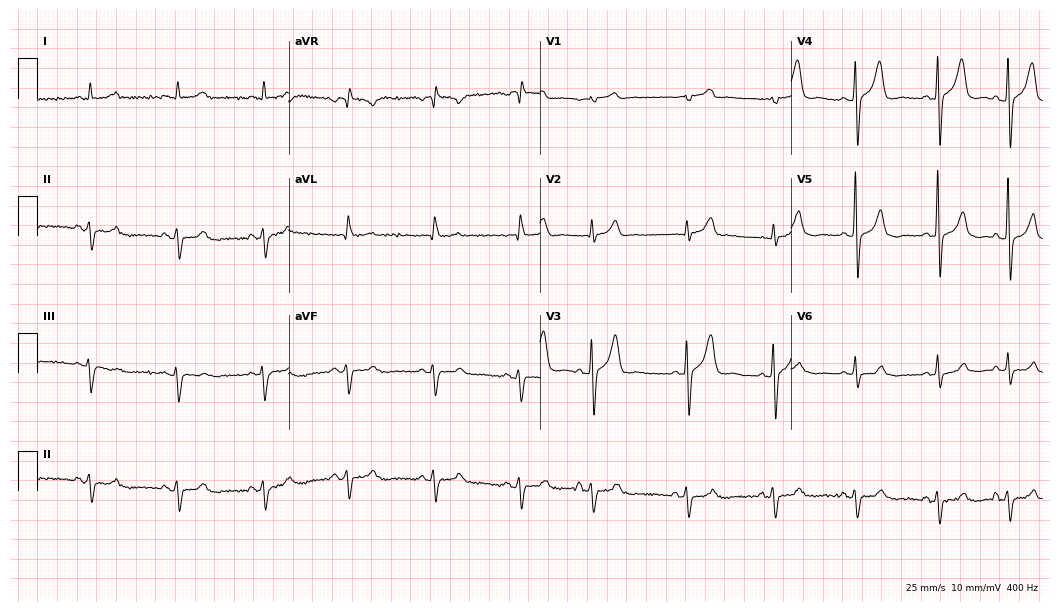
12-lead ECG from a man, 67 years old. Screened for six findings — first-degree AV block, right bundle branch block, left bundle branch block, sinus bradycardia, atrial fibrillation, sinus tachycardia — none is recorded. Other findings, if any, are not listed.